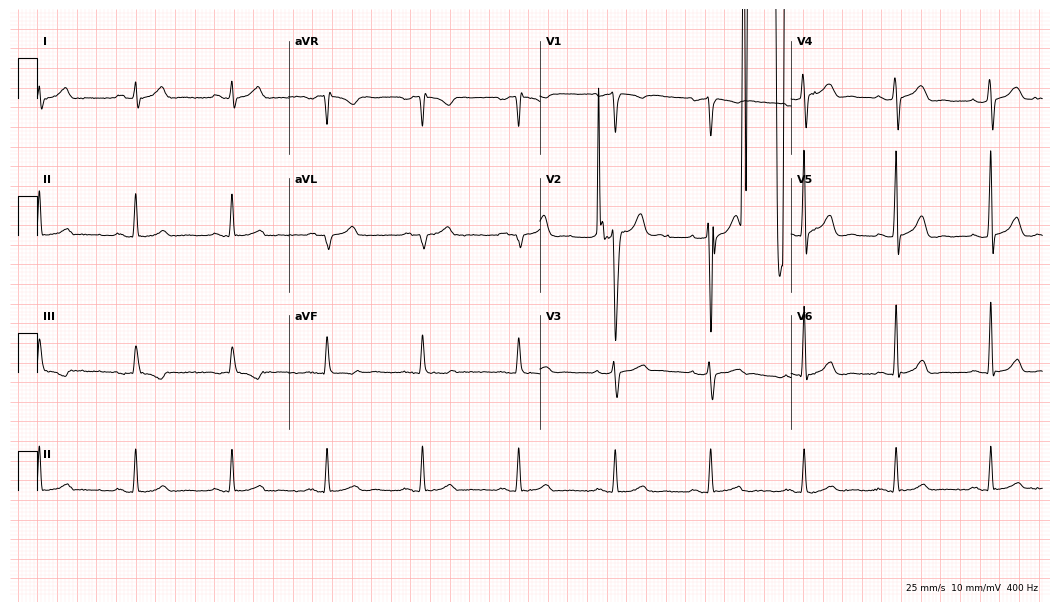
ECG (10.2-second recording at 400 Hz) — a 44-year-old male patient. Screened for six findings — first-degree AV block, right bundle branch block (RBBB), left bundle branch block (LBBB), sinus bradycardia, atrial fibrillation (AF), sinus tachycardia — none is recorded. Findings outside these six are not listed.